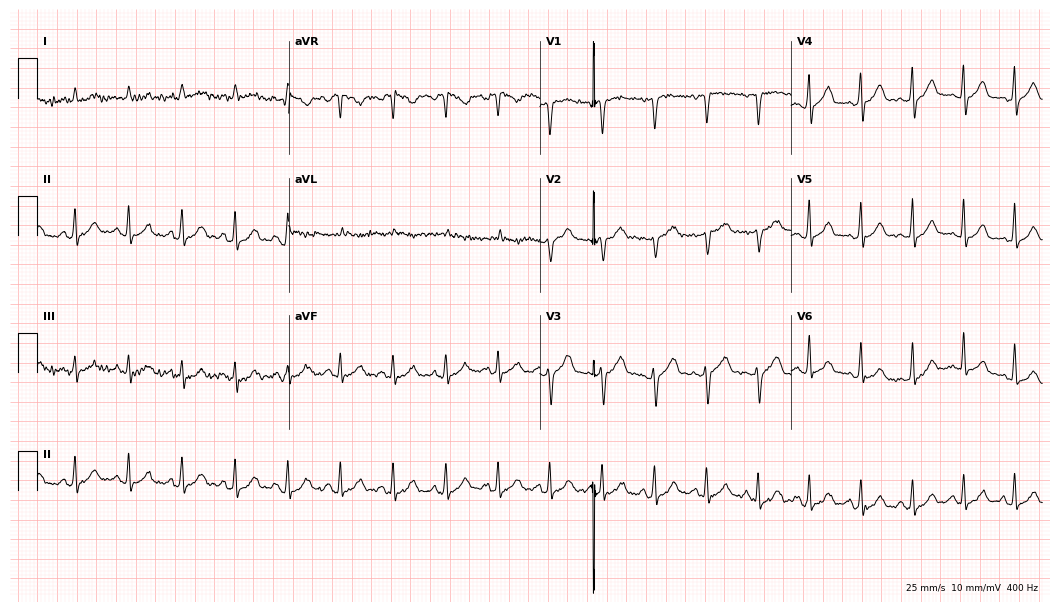
Resting 12-lead electrocardiogram (10.2-second recording at 400 Hz). Patient: a 71-year-old man. The tracing shows sinus tachycardia (a sinus rate of 100 beats per minute or more).